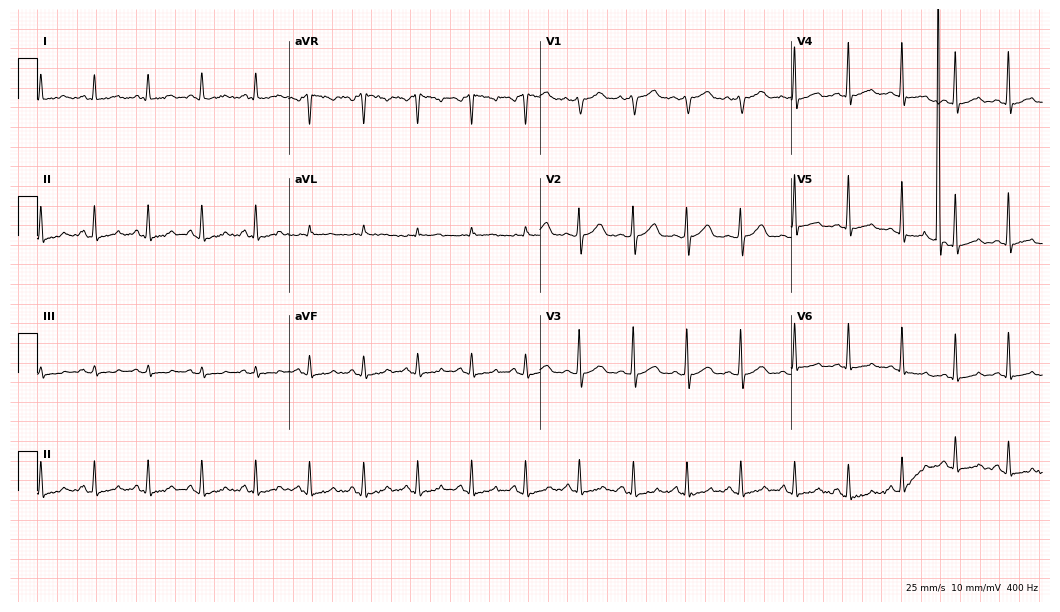
Standard 12-lead ECG recorded from a woman, 77 years old (10.2-second recording at 400 Hz). The tracing shows sinus tachycardia (a sinus rate of 100 beats per minute or more).